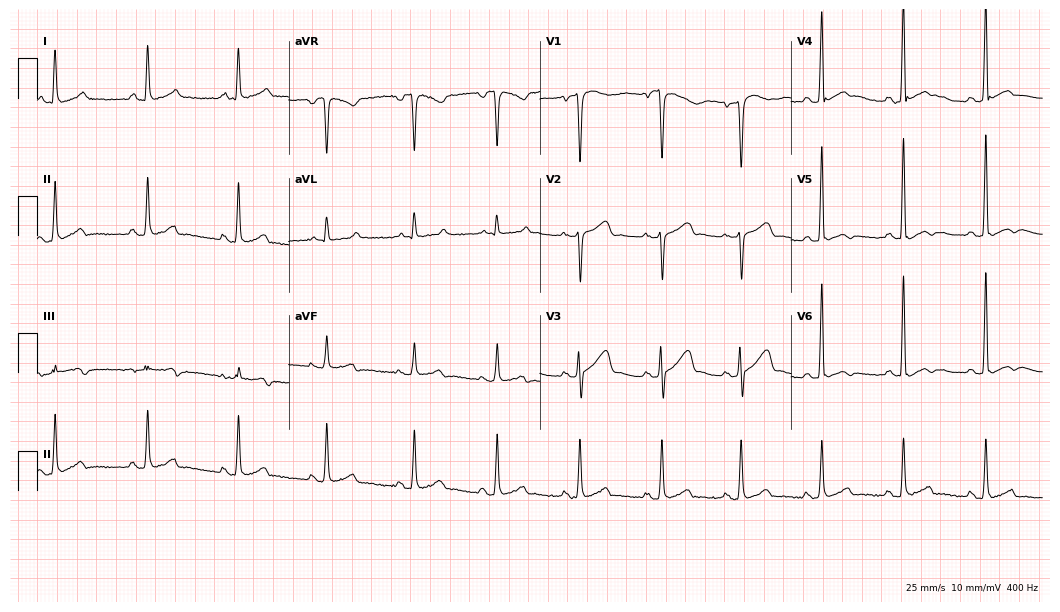
Electrocardiogram (10.2-second recording at 400 Hz), a 35-year-old male patient. Overall reading on record: normal ECG.